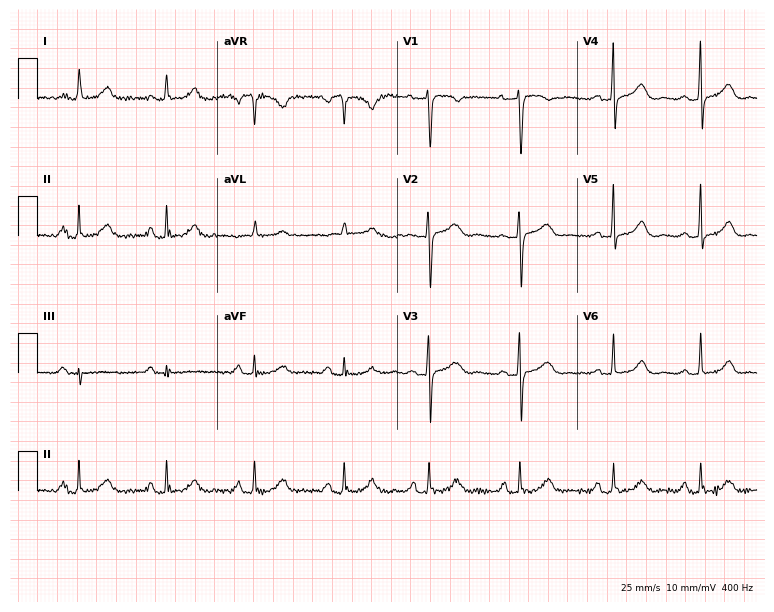
Resting 12-lead electrocardiogram. Patient: a 66-year-old female. Read as a normal ECG.